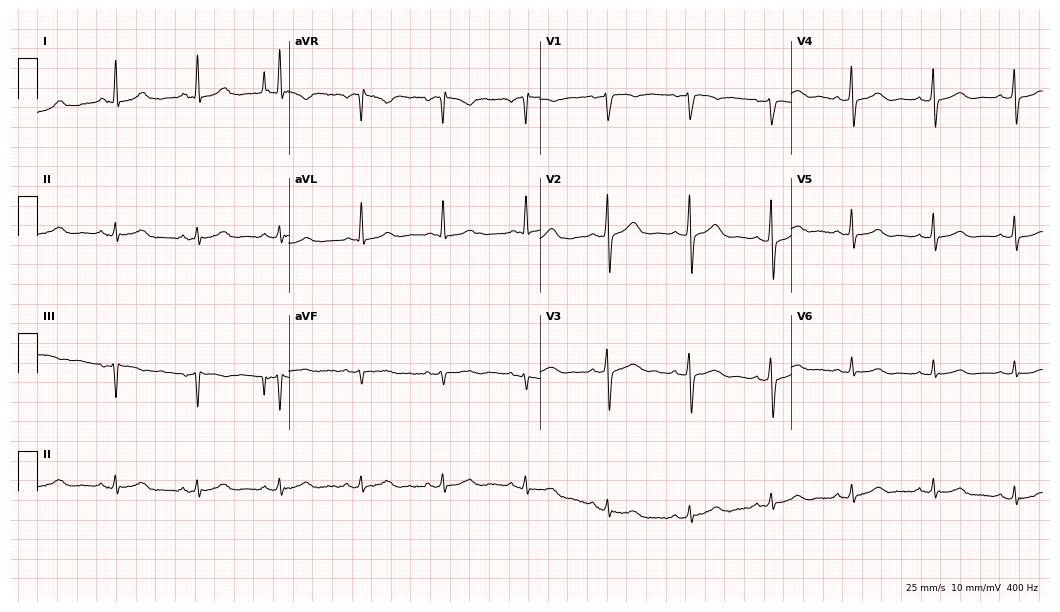
12-lead ECG (10.2-second recording at 400 Hz) from a female patient, 65 years old. Labelled as a normal ECG.